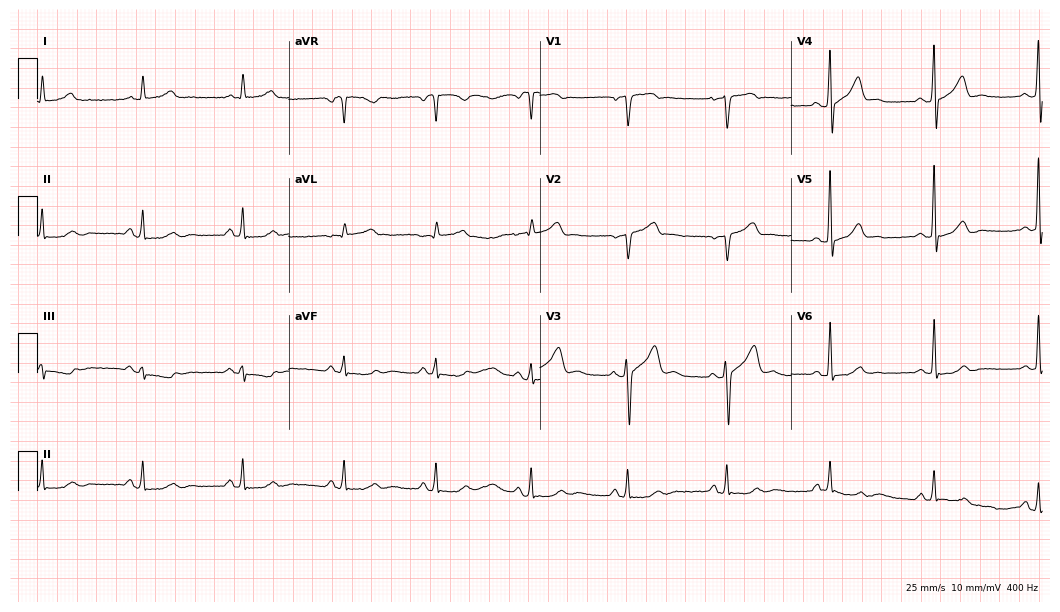
Standard 12-lead ECG recorded from a male patient, 41 years old (10.2-second recording at 400 Hz). Read as a normal ECG.